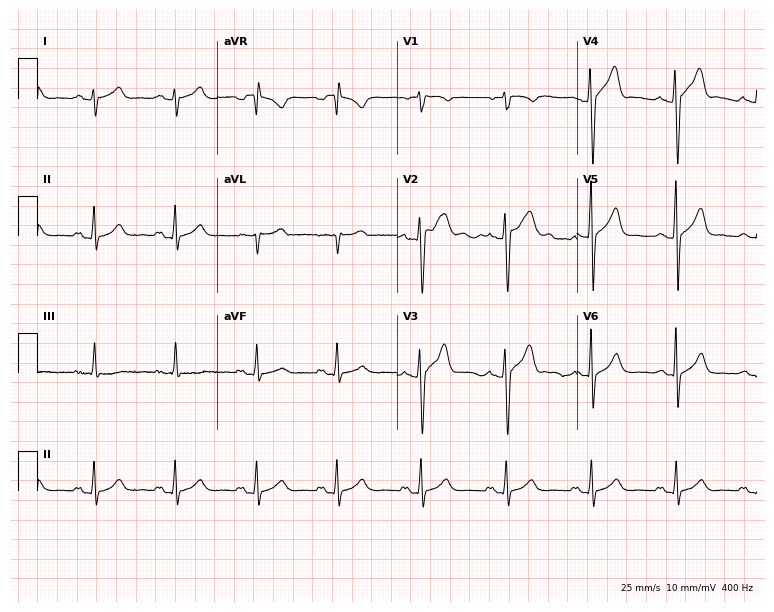
Resting 12-lead electrocardiogram (7.3-second recording at 400 Hz). Patient: a male, 39 years old. None of these six findings is recorded: first-degree AV block, right bundle branch block, left bundle branch block, sinus bradycardia, atrial fibrillation, sinus tachycardia.